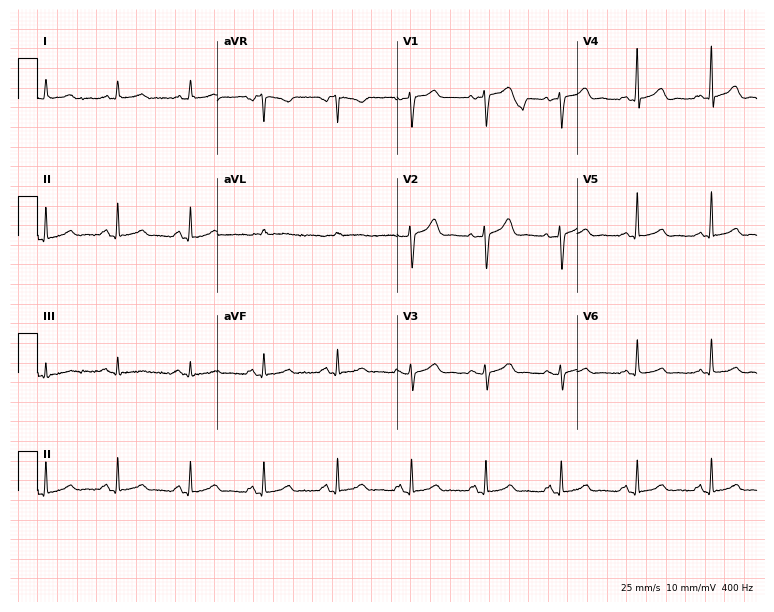
Electrocardiogram, a male, 50 years old. Overall reading on record: normal ECG.